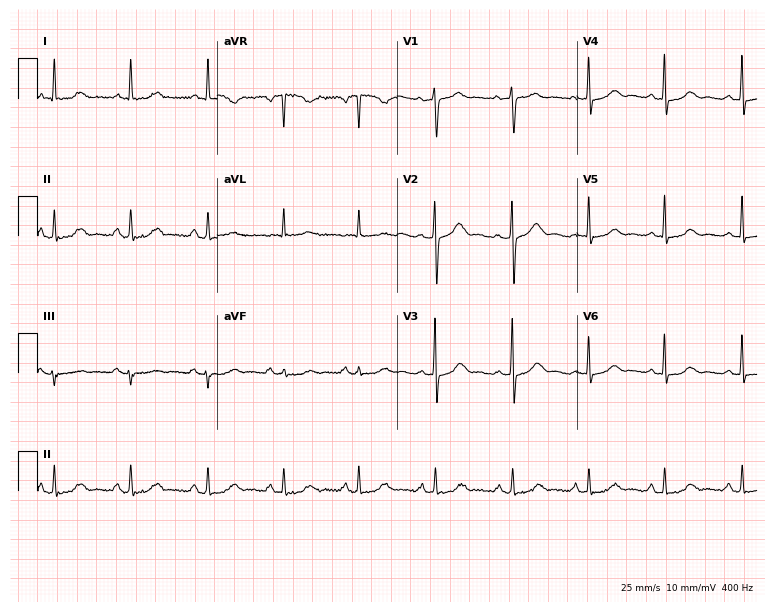
12-lead ECG (7.3-second recording at 400 Hz) from a 54-year-old woman. Screened for six findings — first-degree AV block, right bundle branch block, left bundle branch block, sinus bradycardia, atrial fibrillation, sinus tachycardia — none is recorded. Only these six findings were labelled.